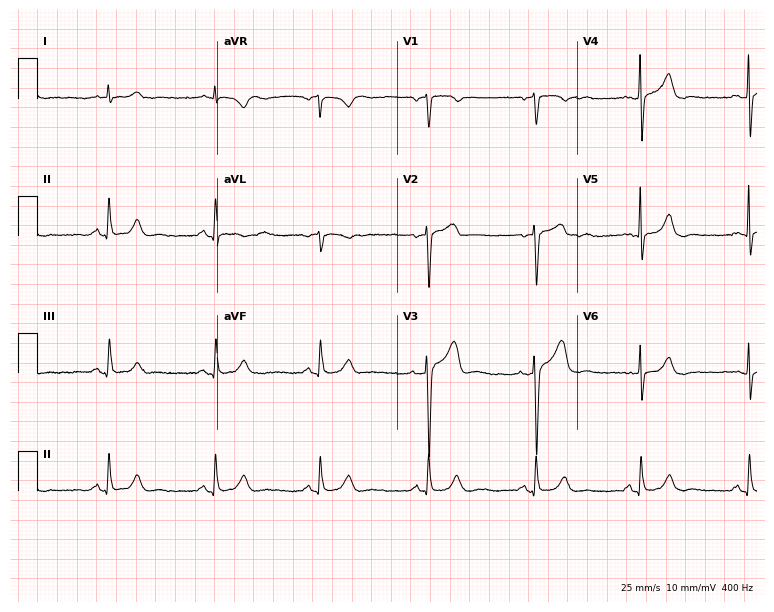
Standard 12-lead ECG recorded from a 64-year-old man. Read as a normal ECG.